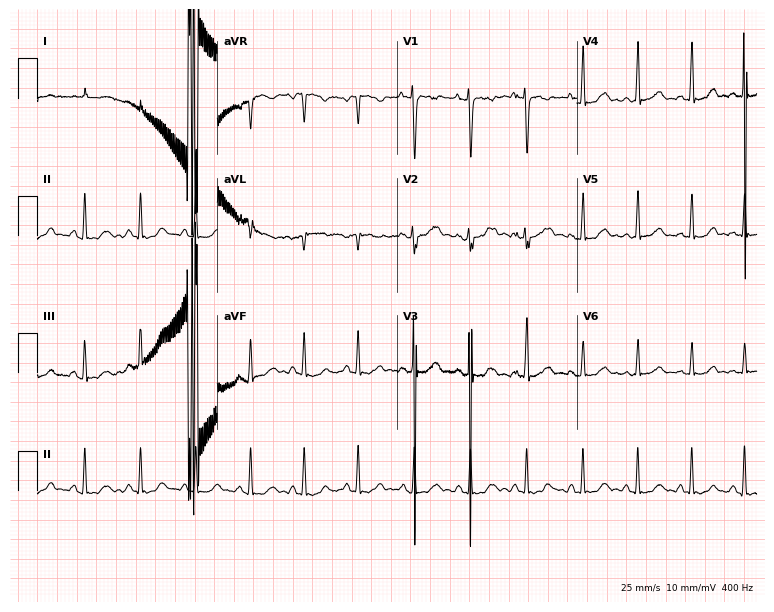
Electrocardiogram, a 21-year-old woman. Of the six screened findings (first-degree AV block, right bundle branch block, left bundle branch block, sinus bradycardia, atrial fibrillation, sinus tachycardia), none is recorded. Other findings, if any, are not listed.